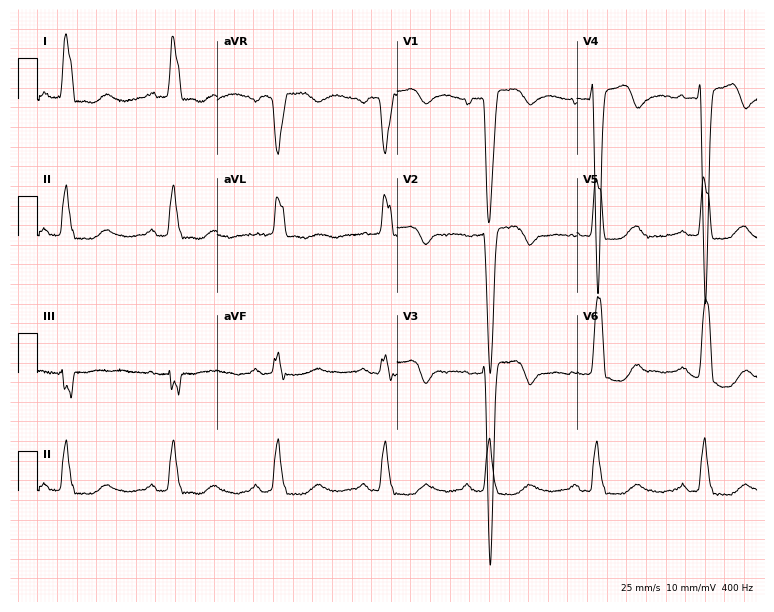
ECG (7.3-second recording at 400 Hz) — a 73-year-old female patient. Findings include left bundle branch block.